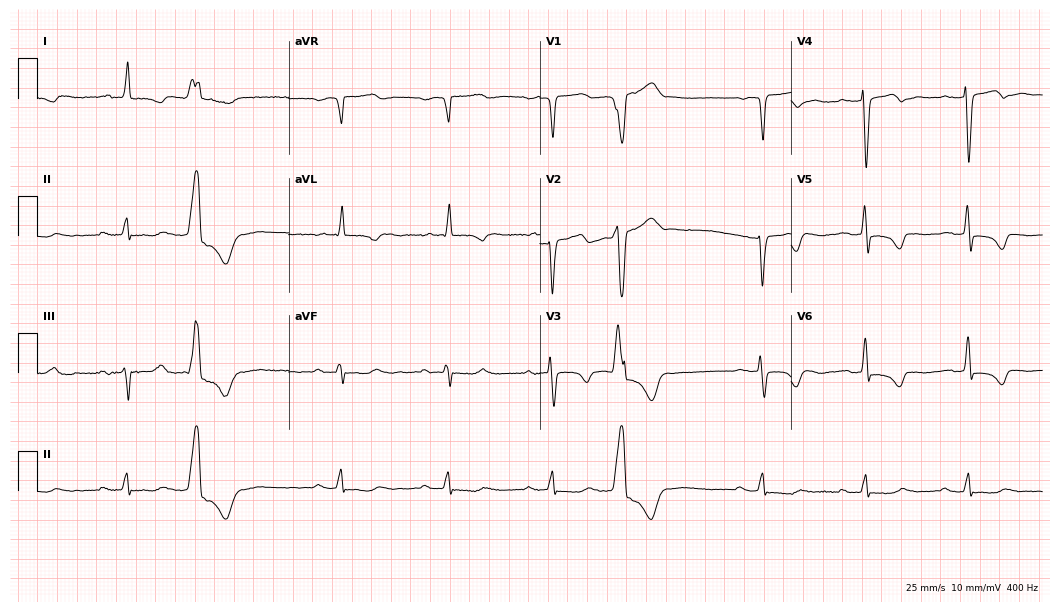
12-lead ECG from a 70-year-old male. Shows first-degree AV block.